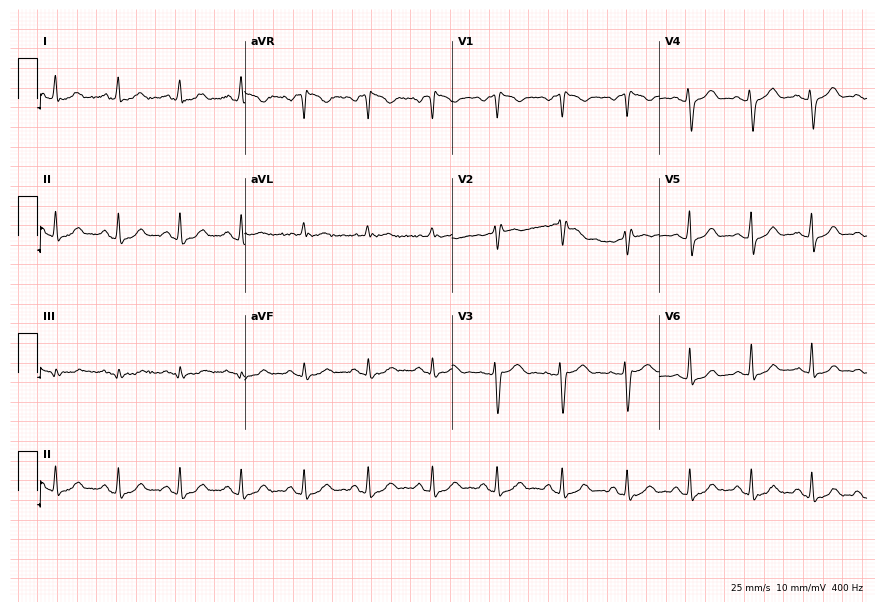
12-lead ECG from a 40-year-old female (8.5-second recording at 400 Hz). No first-degree AV block, right bundle branch block (RBBB), left bundle branch block (LBBB), sinus bradycardia, atrial fibrillation (AF) or sinus tachycardia recorded for this tracing. Findings outside these six are not listed.